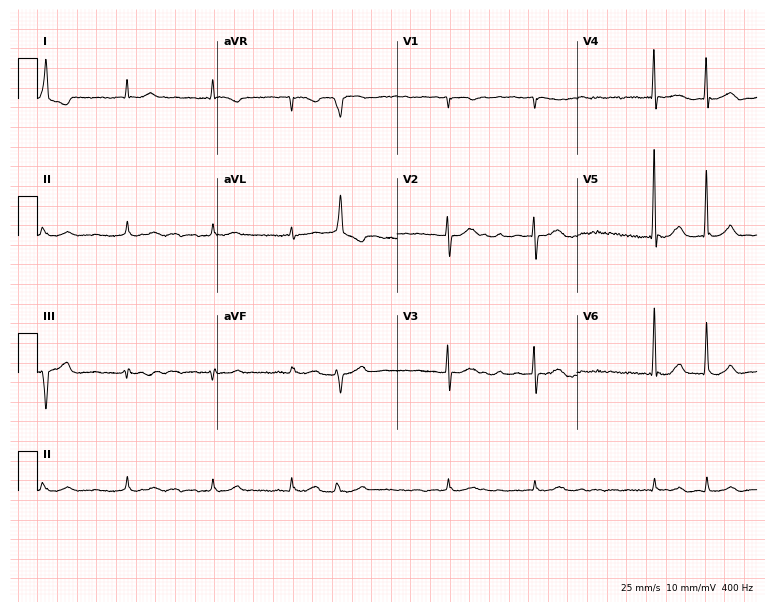
ECG — a male, 85 years old. Findings include atrial fibrillation.